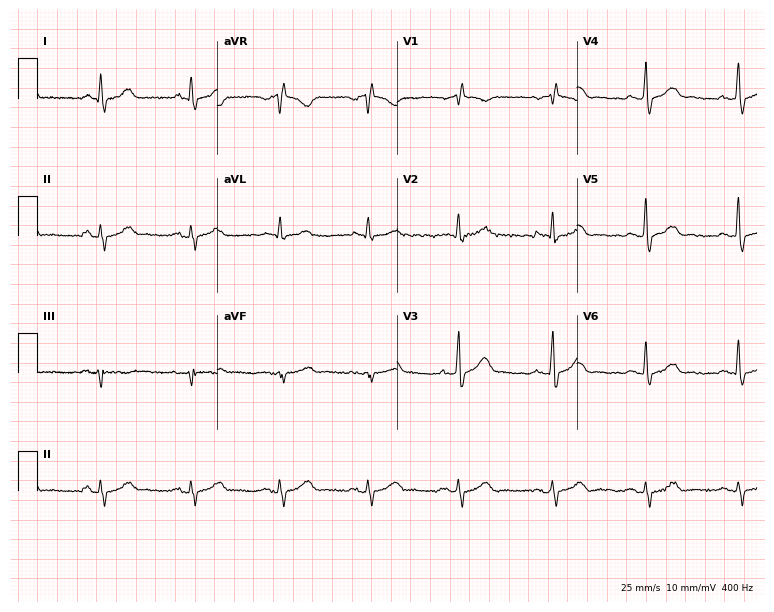
12-lead ECG (7.3-second recording at 400 Hz) from a male, 69 years old. Screened for six findings — first-degree AV block, right bundle branch block (RBBB), left bundle branch block (LBBB), sinus bradycardia, atrial fibrillation (AF), sinus tachycardia — none is recorded. Other findings, if any, are not listed.